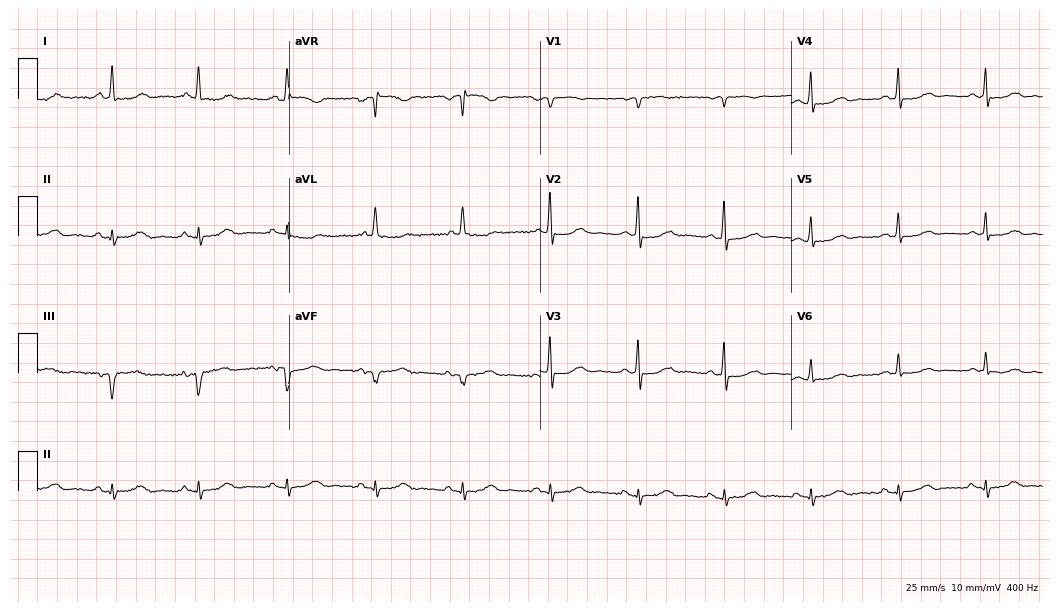
ECG — a 69-year-old woman. Screened for six findings — first-degree AV block, right bundle branch block, left bundle branch block, sinus bradycardia, atrial fibrillation, sinus tachycardia — none is recorded. Other findings, if any, are not listed.